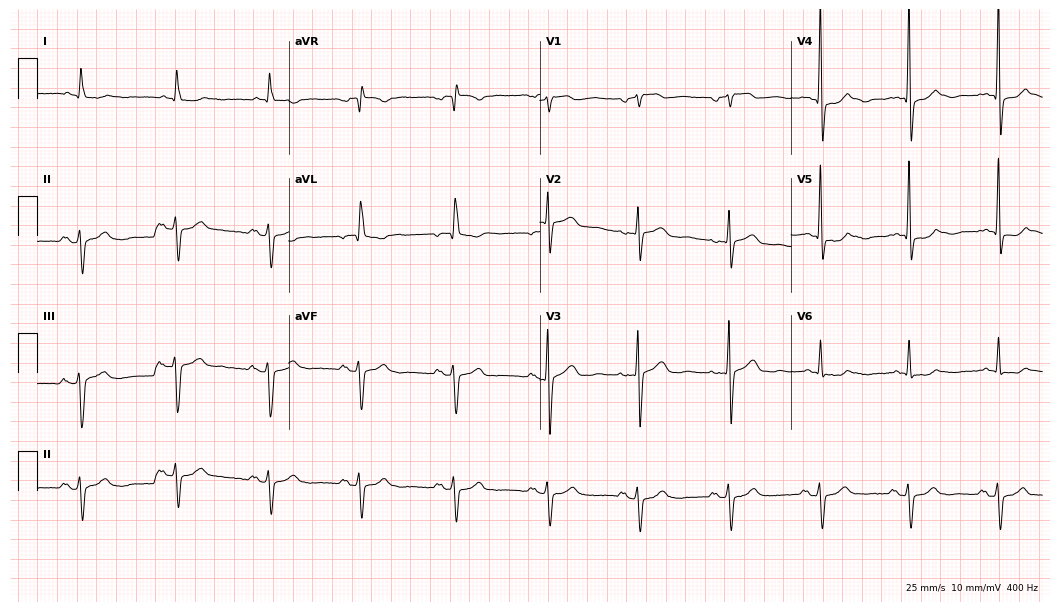
Resting 12-lead electrocardiogram (10.2-second recording at 400 Hz). Patient: a 65-year-old male. None of these six findings is recorded: first-degree AV block, right bundle branch block, left bundle branch block, sinus bradycardia, atrial fibrillation, sinus tachycardia.